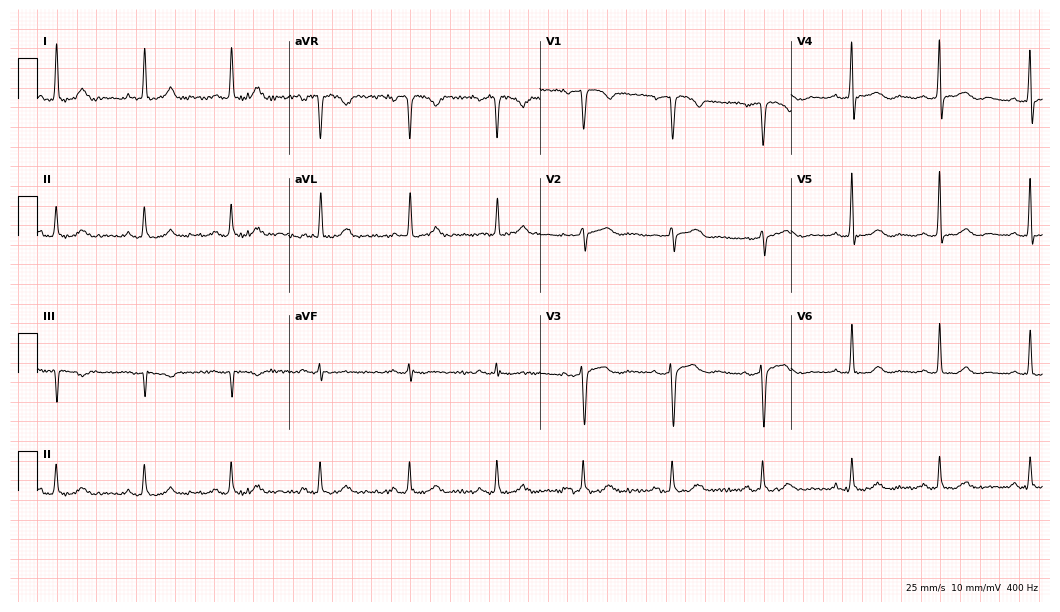
Resting 12-lead electrocardiogram. Patient: a woman, 50 years old. Read as a normal ECG.